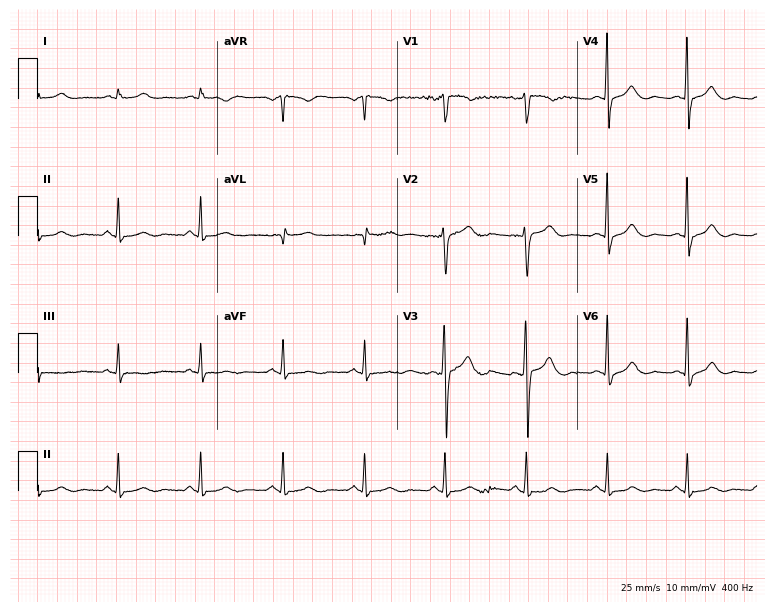
12-lead ECG from a man, 38 years old (7.3-second recording at 400 Hz). Recorded interpretation: within normal limits.